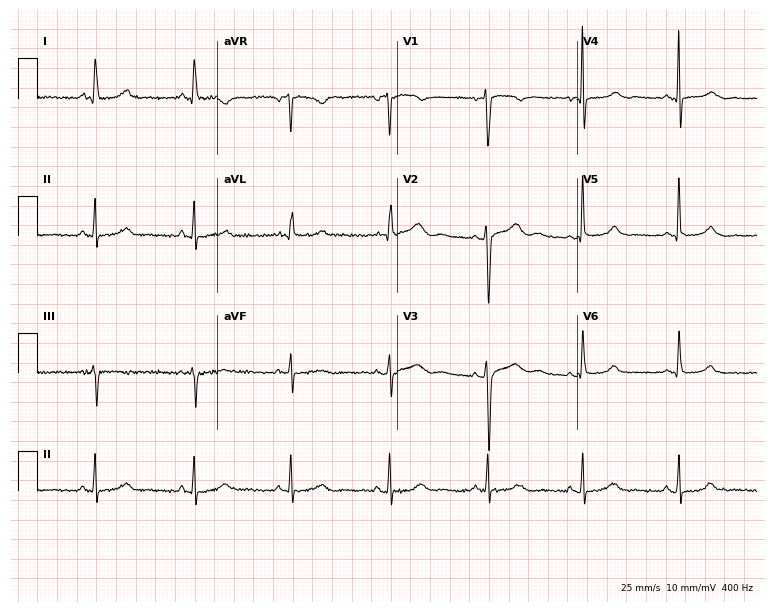
ECG — a 76-year-old female. Screened for six findings — first-degree AV block, right bundle branch block, left bundle branch block, sinus bradycardia, atrial fibrillation, sinus tachycardia — none is recorded.